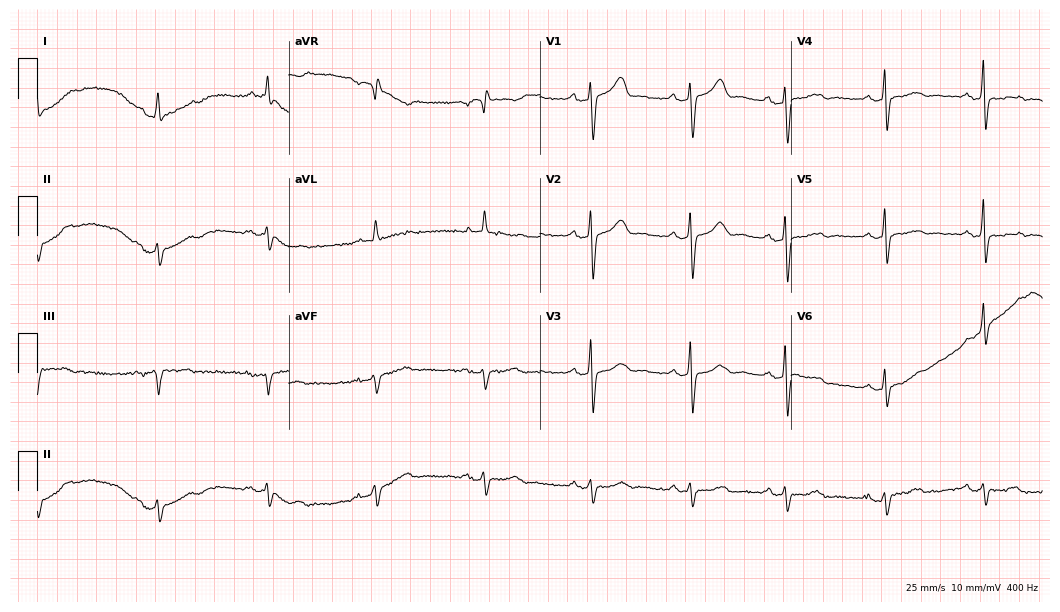
Electrocardiogram (10.2-second recording at 400 Hz), a female, 73 years old. Overall reading on record: normal ECG.